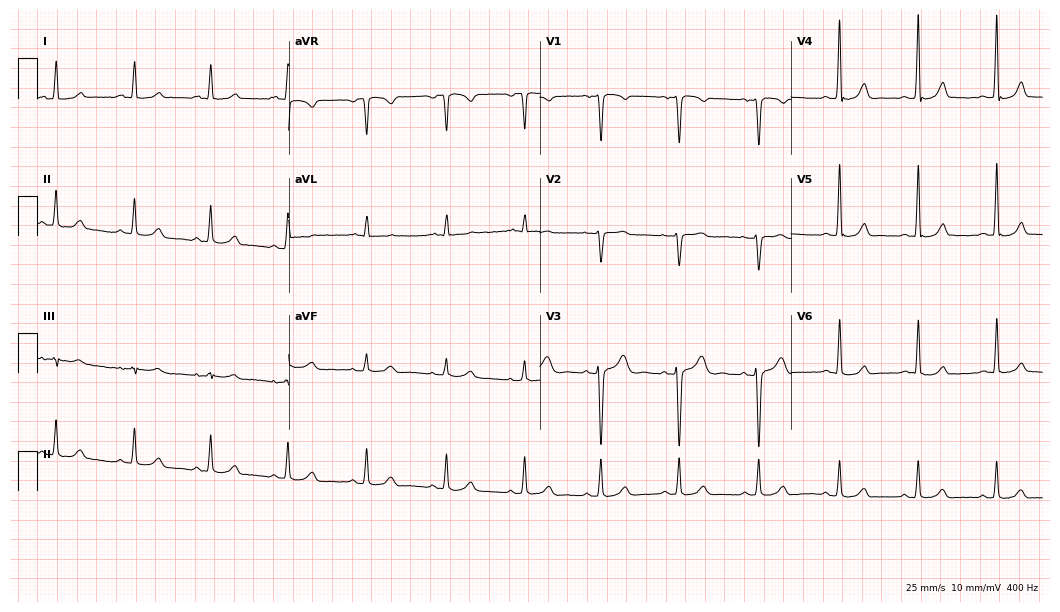
12-lead ECG from a female patient, 23 years old. No first-degree AV block, right bundle branch block (RBBB), left bundle branch block (LBBB), sinus bradycardia, atrial fibrillation (AF) or sinus tachycardia recorded for this tracing.